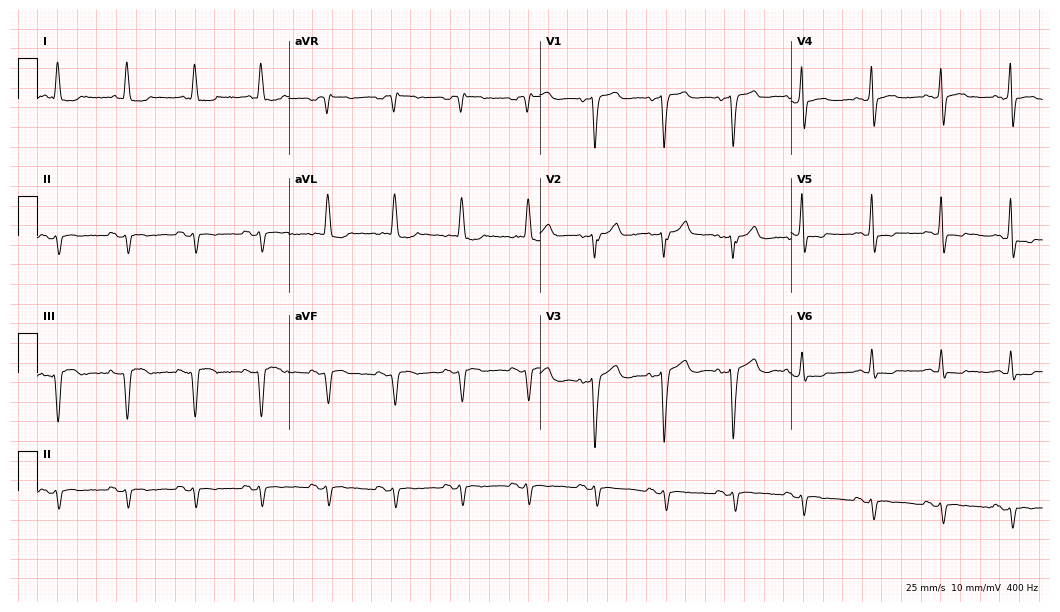
12-lead ECG from a 61-year-old woman (10.2-second recording at 400 Hz). No first-degree AV block, right bundle branch block (RBBB), left bundle branch block (LBBB), sinus bradycardia, atrial fibrillation (AF) or sinus tachycardia recorded for this tracing. Findings outside these six are not listed.